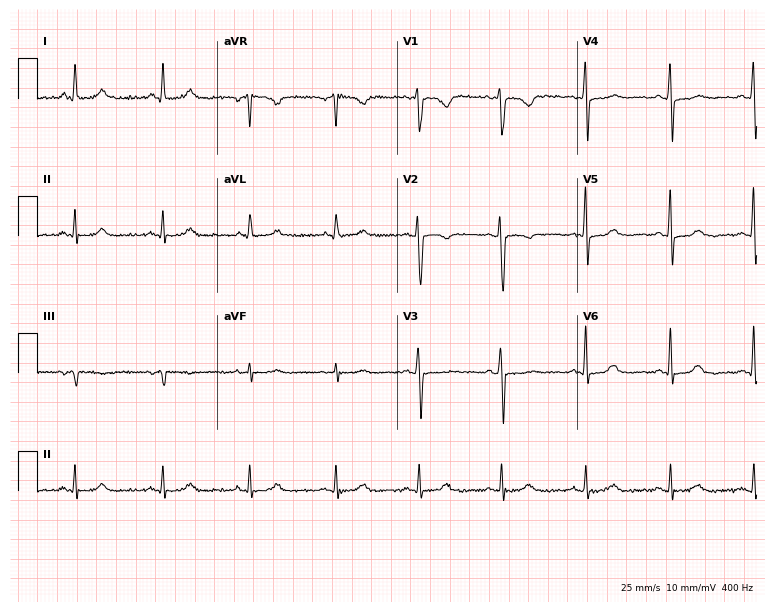
Resting 12-lead electrocardiogram. Patient: a woman, 49 years old. None of these six findings is recorded: first-degree AV block, right bundle branch block, left bundle branch block, sinus bradycardia, atrial fibrillation, sinus tachycardia.